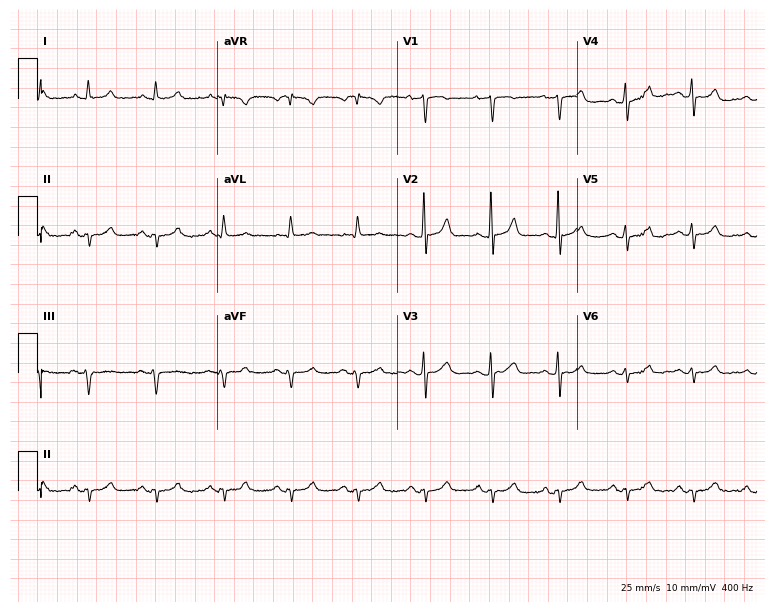
ECG (7.3-second recording at 400 Hz) — a male patient, 80 years old. Screened for six findings — first-degree AV block, right bundle branch block, left bundle branch block, sinus bradycardia, atrial fibrillation, sinus tachycardia — none is recorded.